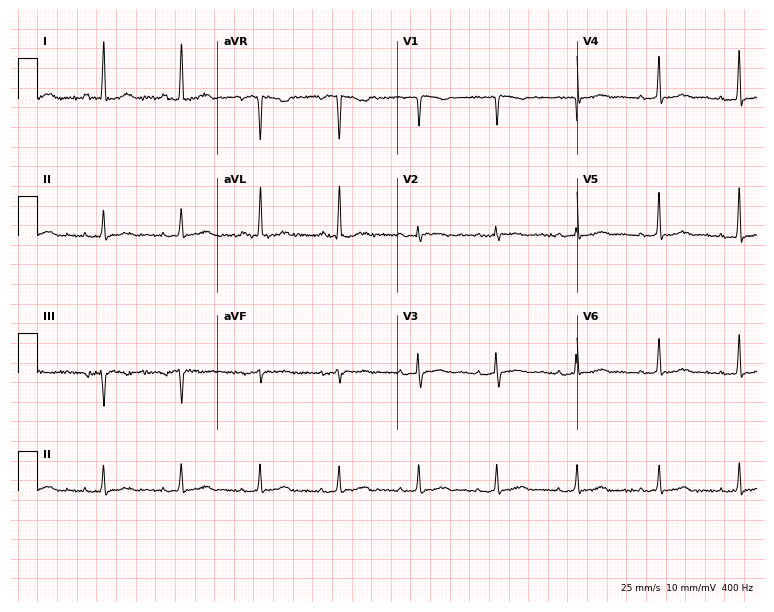
ECG — a female, 58 years old. Screened for six findings — first-degree AV block, right bundle branch block, left bundle branch block, sinus bradycardia, atrial fibrillation, sinus tachycardia — none is recorded.